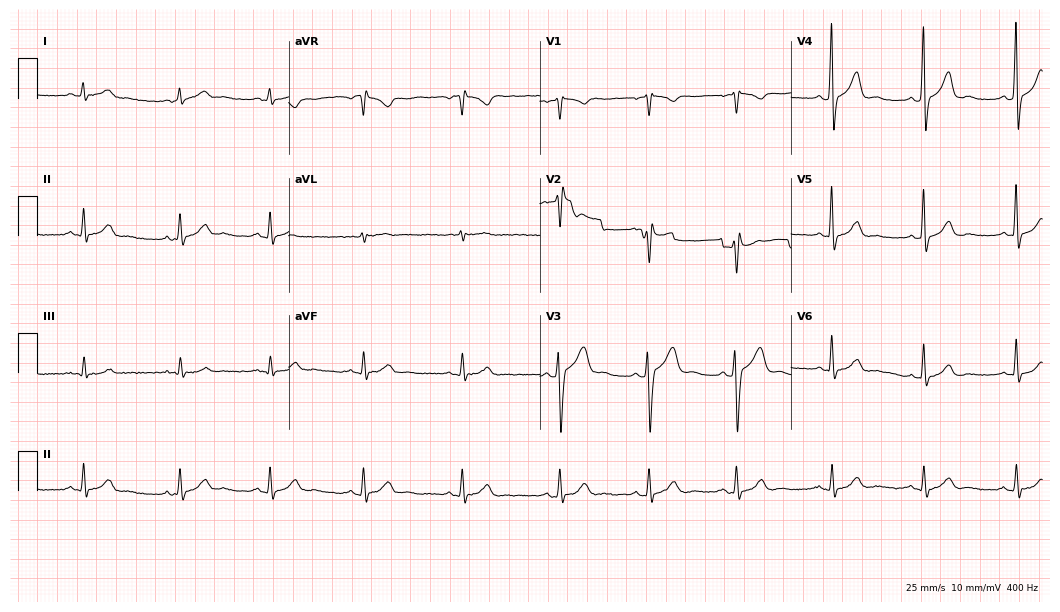
12-lead ECG from a 37-year-old man. Screened for six findings — first-degree AV block, right bundle branch block, left bundle branch block, sinus bradycardia, atrial fibrillation, sinus tachycardia — none is recorded.